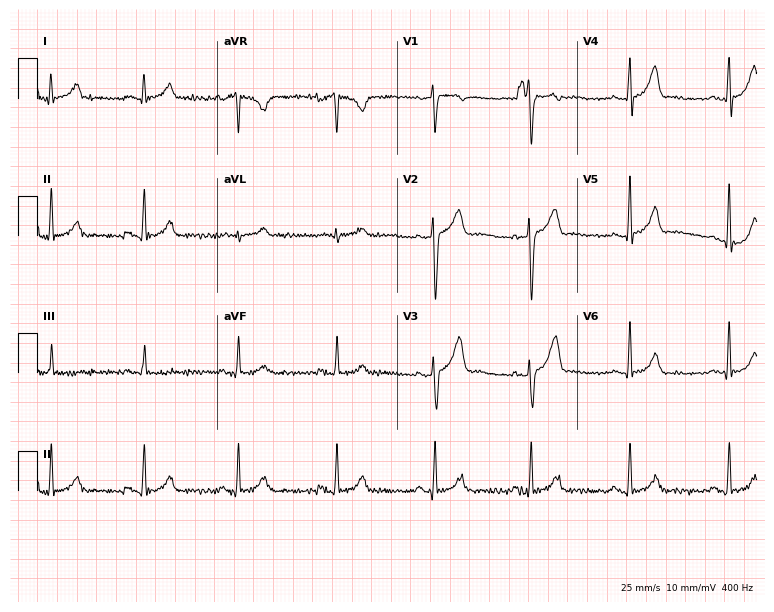
12-lead ECG (7.3-second recording at 400 Hz) from a 48-year-old male patient. Labelled as a normal ECG.